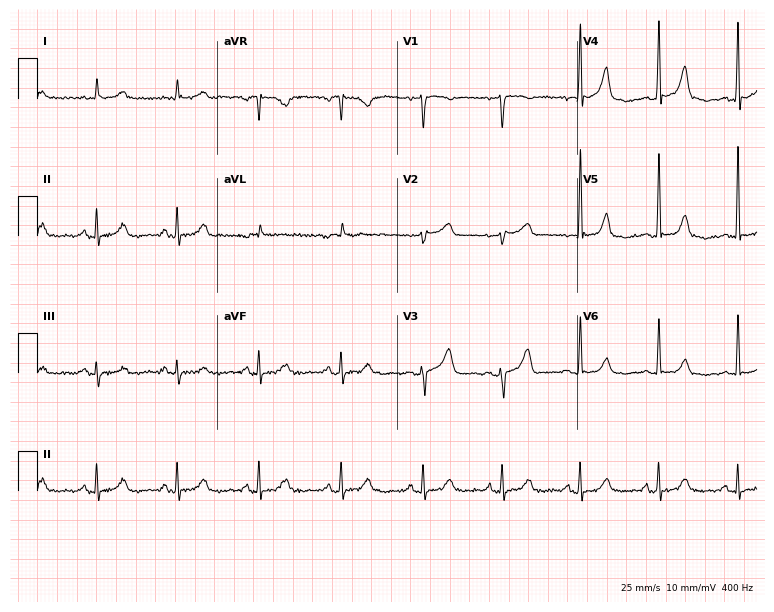
Electrocardiogram, a woman, 70 years old. Of the six screened findings (first-degree AV block, right bundle branch block (RBBB), left bundle branch block (LBBB), sinus bradycardia, atrial fibrillation (AF), sinus tachycardia), none is recorded.